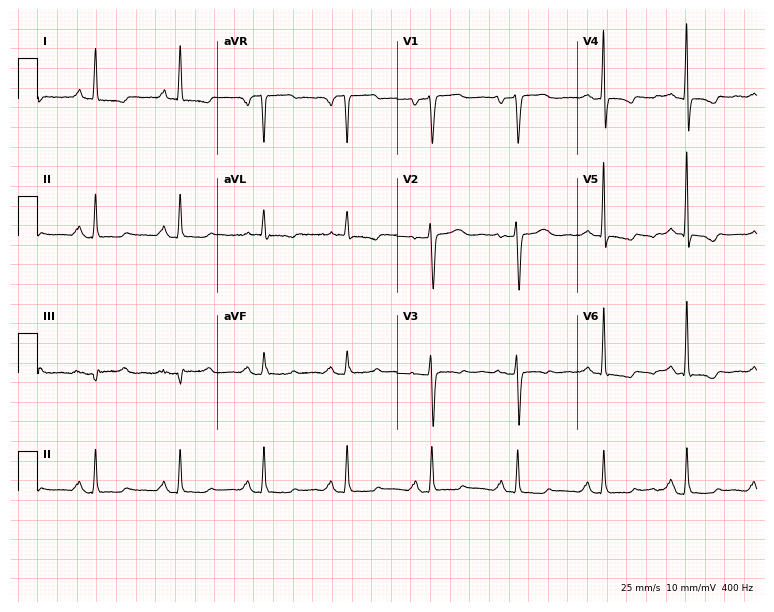
Electrocardiogram (7.3-second recording at 400 Hz), a 48-year-old female patient. Of the six screened findings (first-degree AV block, right bundle branch block (RBBB), left bundle branch block (LBBB), sinus bradycardia, atrial fibrillation (AF), sinus tachycardia), none is recorded. Findings outside these six are not listed.